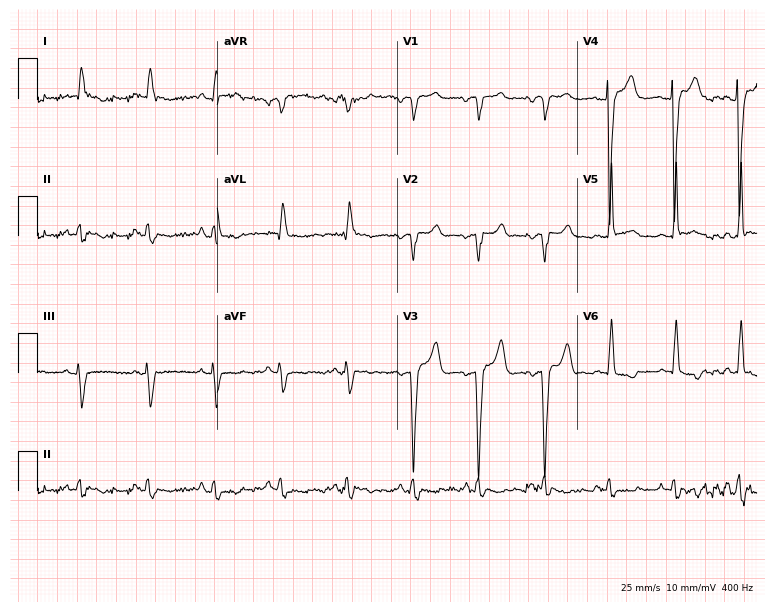
12-lead ECG from a 49-year-old woman. No first-degree AV block, right bundle branch block (RBBB), left bundle branch block (LBBB), sinus bradycardia, atrial fibrillation (AF) or sinus tachycardia recorded for this tracing.